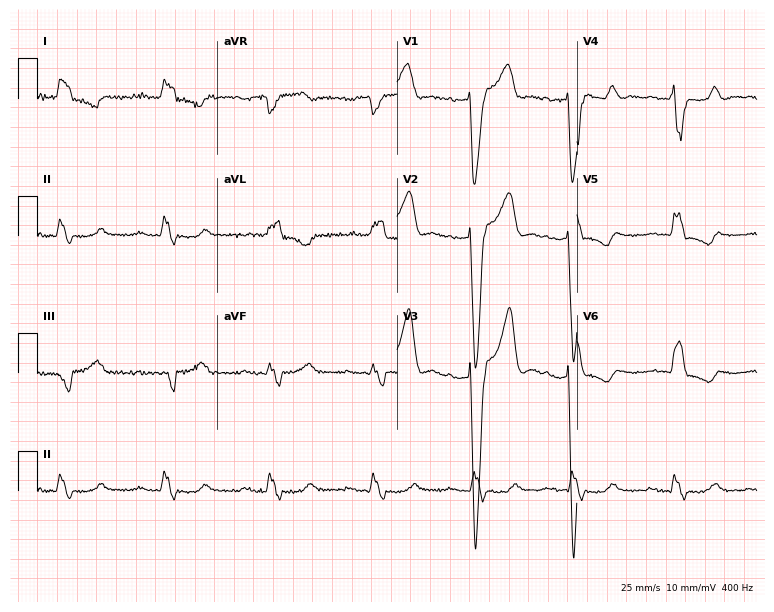
Standard 12-lead ECG recorded from a male, 79 years old. The tracing shows first-degree AV block, left bundle branch block.